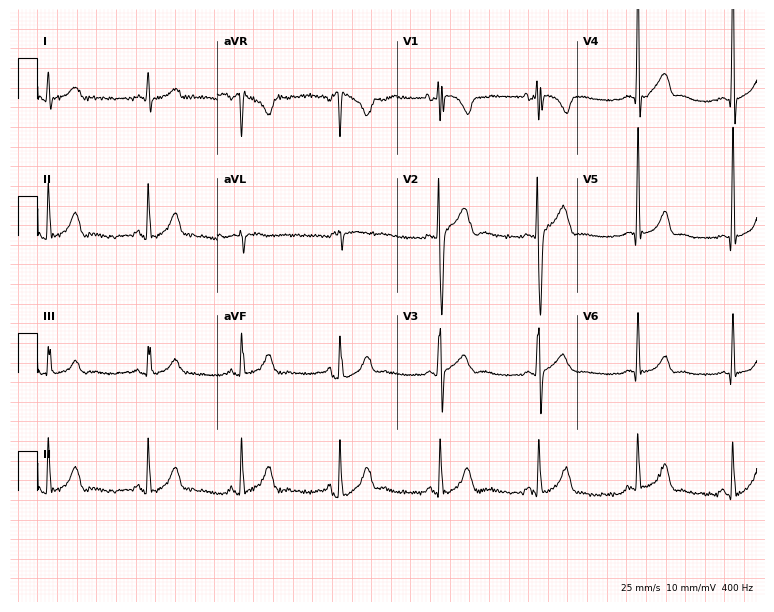
Standard 12-lead ECG recorded from a 17-year-old male patient. None of these six findings is recorded: first-degree AV block, right bundle branch block, left bundle branch block, sinus bradycardia, atrial fibrillation, sinus tachycardia. Other findings, if any, are not listed.